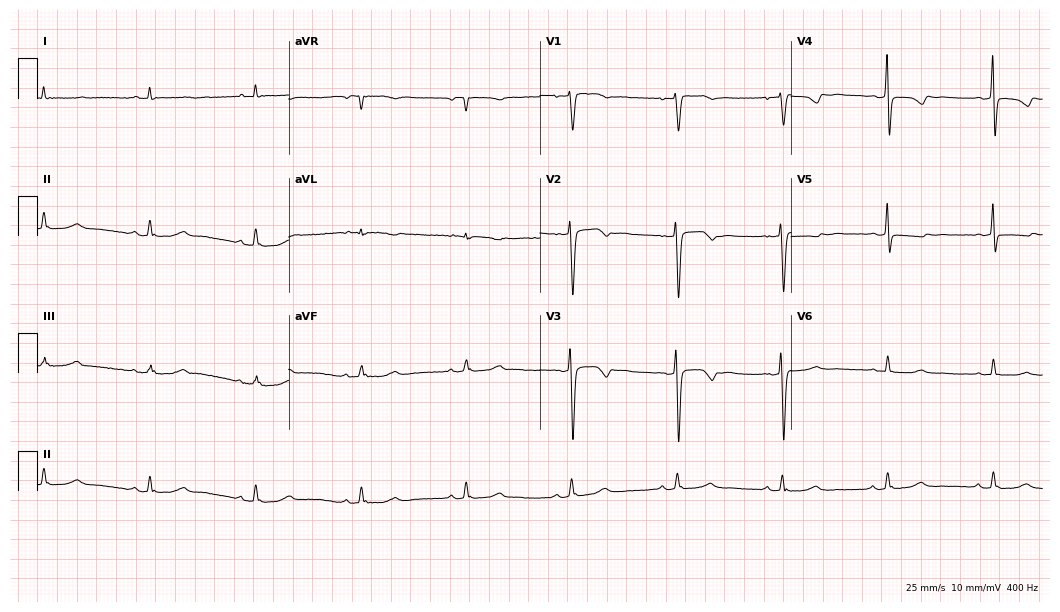
12-lead ECG from a 47-year-old female patient (10.2-second recording at 400 Hz). No first-degree AV block, right bundle branch block, left bundle branch block, sinus bradycardia, atrial fibrillation or sinus tachycardia recorded for this tracing.